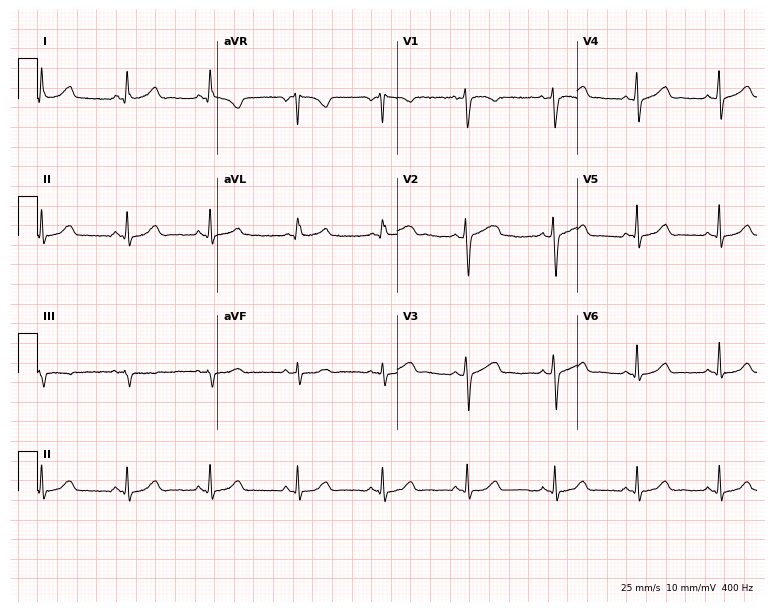
12-lead ECG (7.3-second recording at 400 Hz) from a 27-year-old female patient. Labelled as a normal ECG.